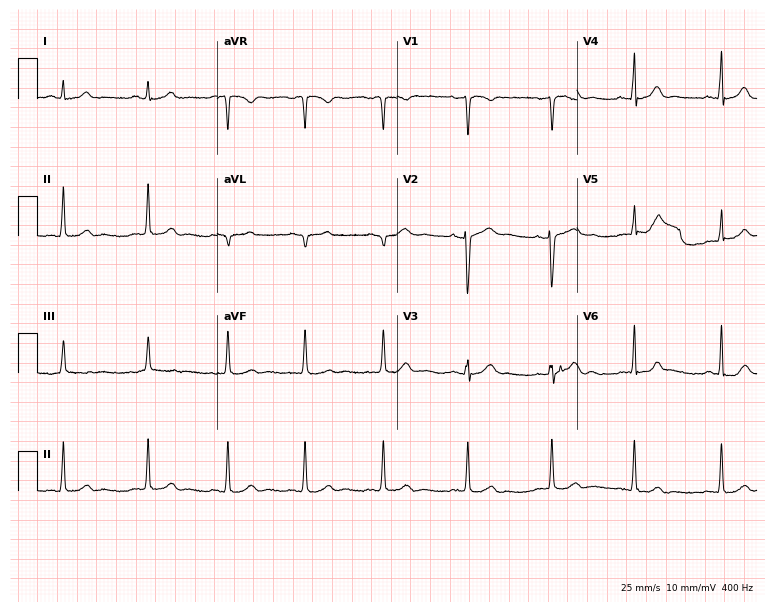
12-lead ECG from a female patient, 30 years old. Recorded interpretation: within normal limits.